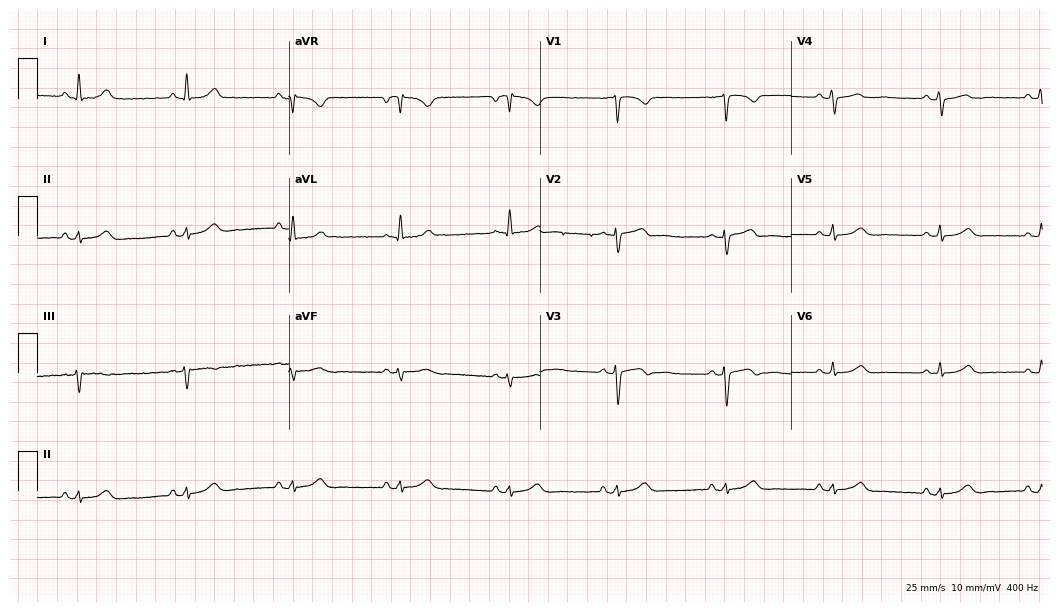
Standard 12-lead ECG recorded from a woman, 54 years old (10.2-second recording at 400 Hz). None of these six findings is recorded: first-degree AV block, right bundle branch block, left bundle branch block, sinus bradycardia, atrial fibrillation, sinus tachycardia.